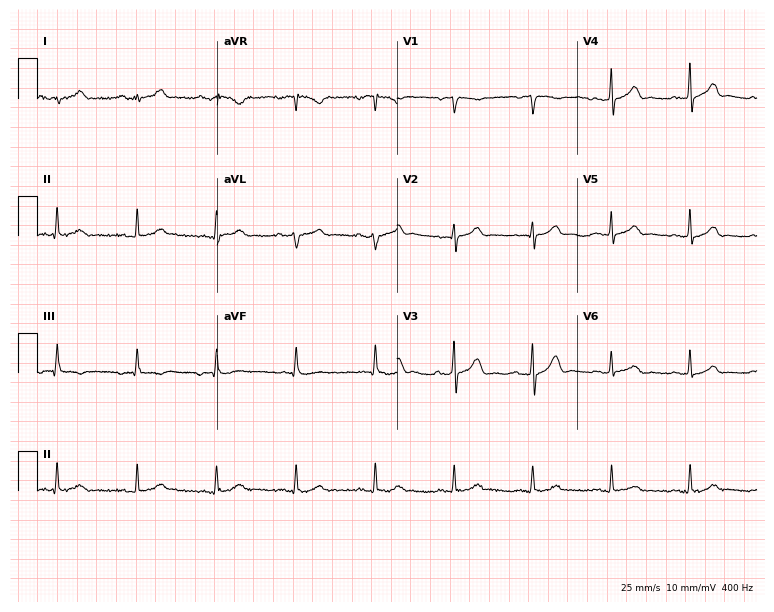
12-lead ECG (7.3-second recording at 400 Hz) from an 85-year-old male. Screened for six findings — first-degree AV block, right bundle branch block, left bundle branch block, sinus bradycardia, atrial fibrillation, sinus tachycardia — none is recorded. Findings outside these six are not listed.